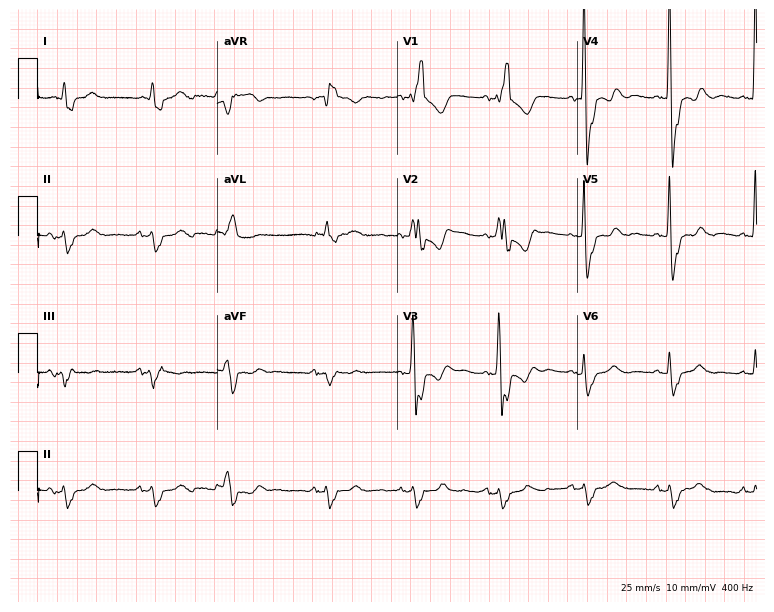
12-lead ECG from a male, 83 years old (7.3-second recording at 400 Hz). Shows right bundle branch block.